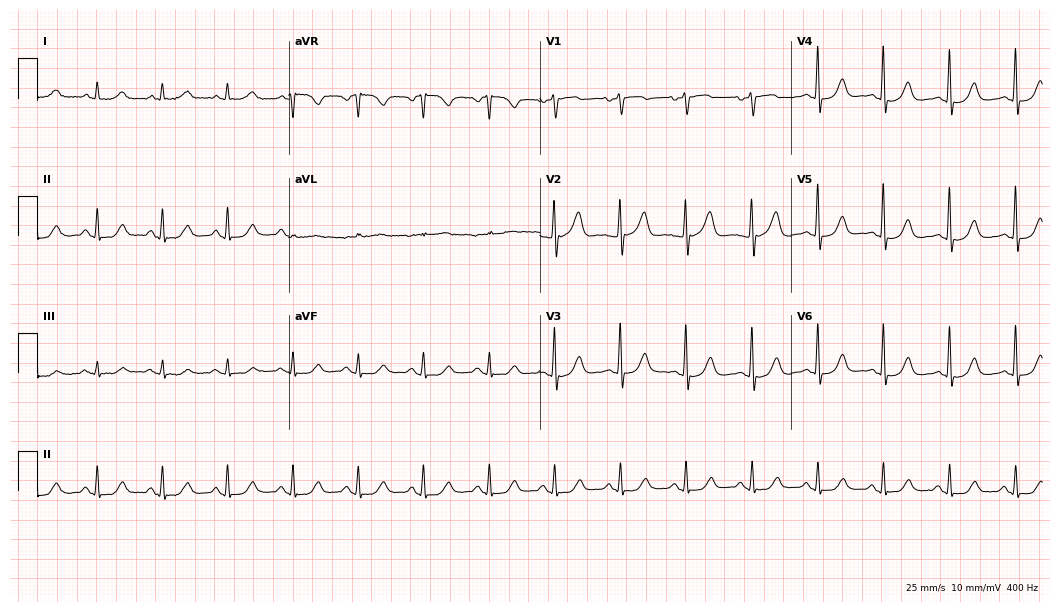
ECG (10.2-second recording at 400 Hz) — a 78-year-old woman. Screened for six findings — first-degree AV block, right bundle branch block, left bundle branch block, sinus bradycardia, atrial fibrillation, sinus tachycardia — none is recorded.